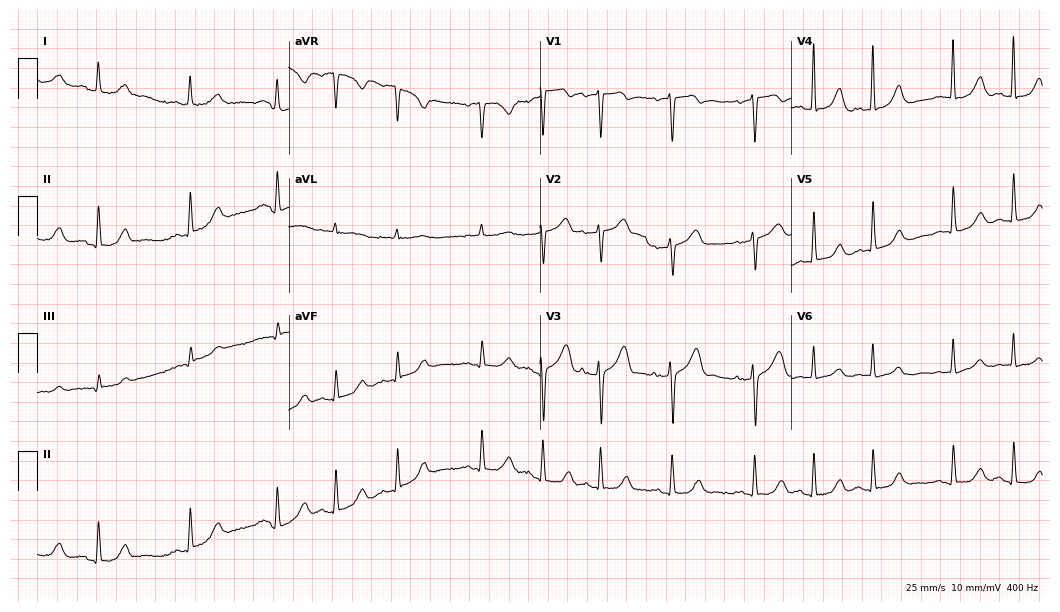
12-lead ECG from a 74-year-old woman. Screened for six findings — first-degree AV block, right bundle branch block, left bundle branch block, sinus bradycardia, atrial fibrillation, sinus tachycardia — none is recorded.